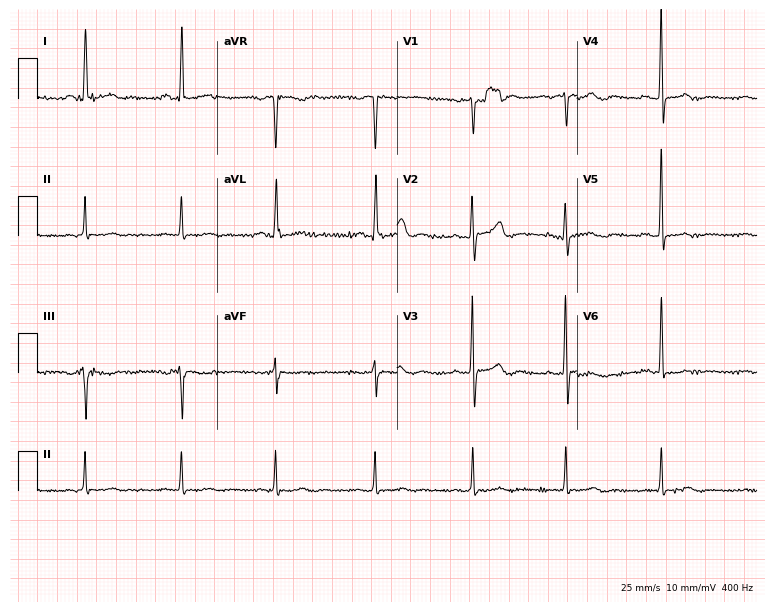
Resting 12-lead electrocardiogram. Patient: a female, 71 years old. None of these six findings is recorded: first-degree AV block, right bundle branch block (RBBB), left bundle branch block (LBBB), sinus bradycardia, atrial fibrillation (AF), sinus tachycardia. Findings outside these six are not listed.